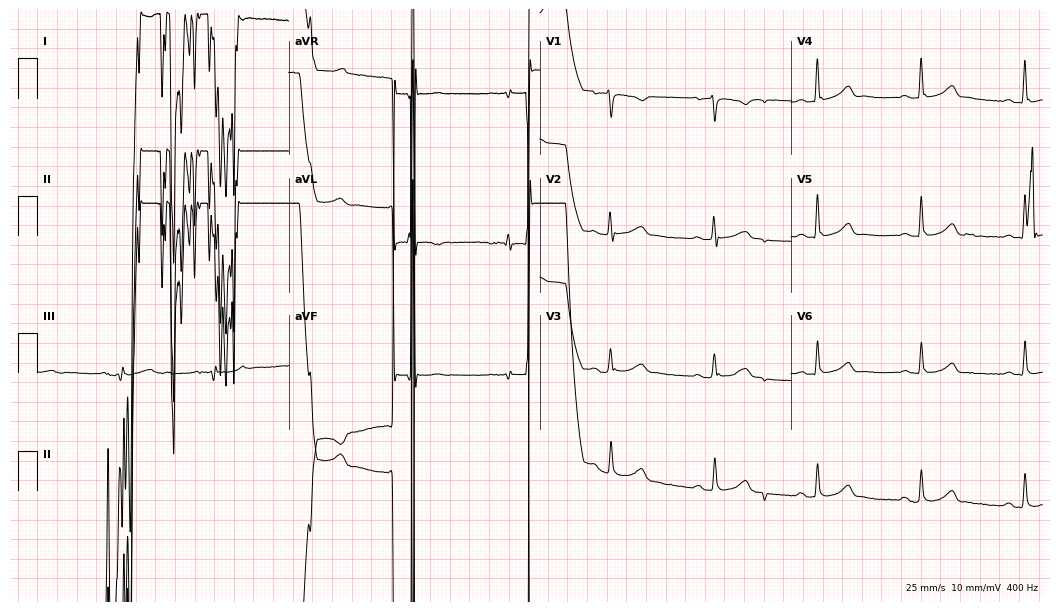
12-lead ECG from a man, 52 years old. Screened for six findings — first-degree AV block, right bundle branch block, left bundle branch block, sinus bradycardia, atrial fibrillation, sinus tachycardia — none is recorded. Other findings, if any, are not listed.